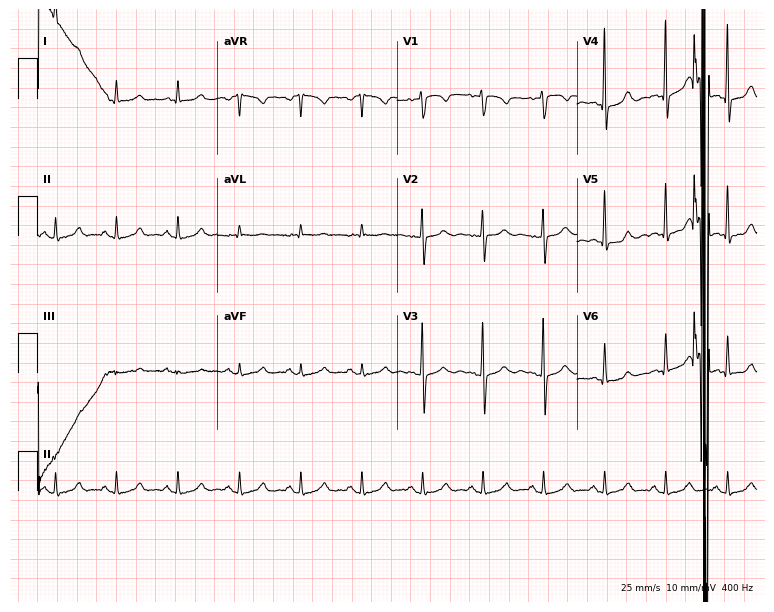
Resting 12-lead electrocardiogram. Patient: a female, 59 years old. None of these six findings is recorded: first-degree AV block, right bundle branch block (RBBB), left bundle branch block (LBBB), sinus bradycardia, atrial fibrillation (AF), sinus tachycardia.